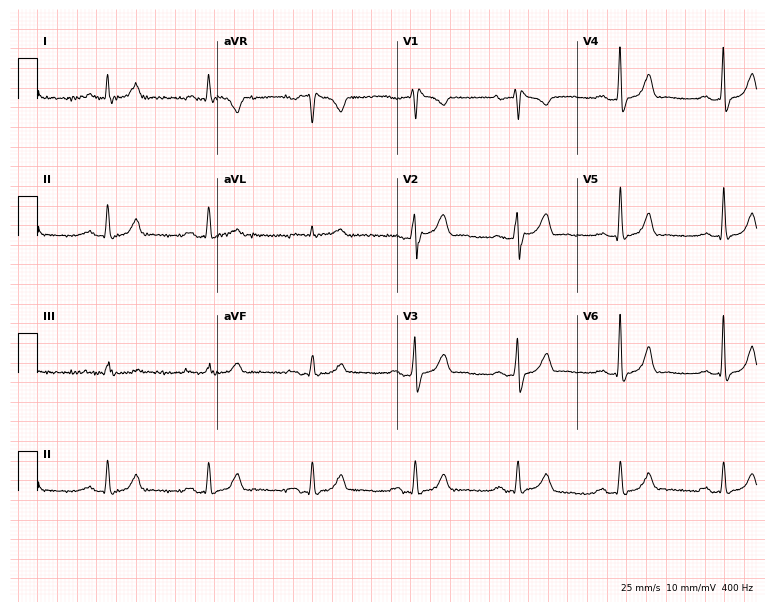
Electrocardiogram, a 55-year-old male. Of the six screened findings (first-degree AV block, right bundle branch block (RBBB), left bundle branch block (LBBB), sinus bradycardia, atrial fibrillation (AF), sinus tachycardia), none is recorded.